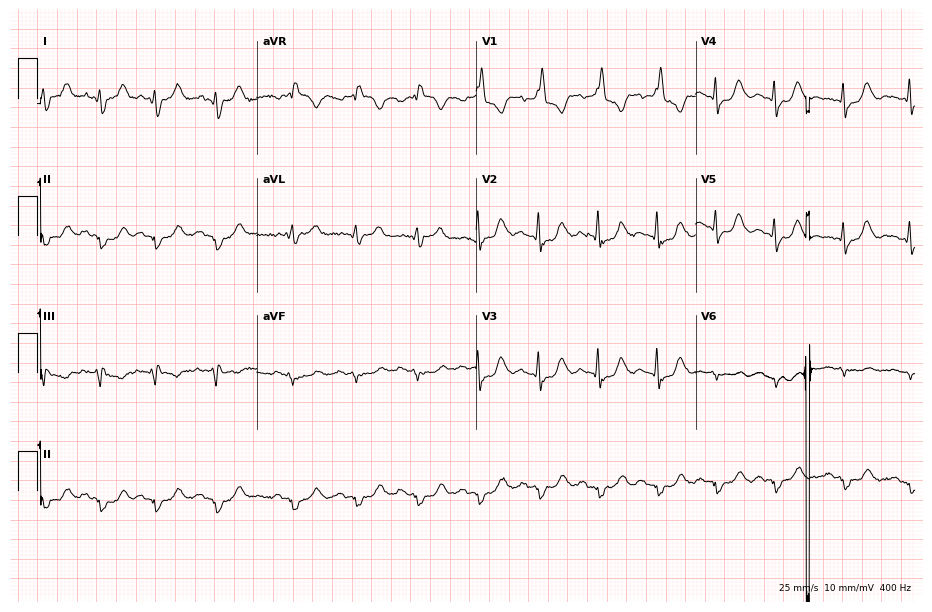
Standard 12-lead ECG recorded from a female, 73 years old (8.9-second recording at 400 Hz). None of these six findings is recorded: first-degree AV block, right bundle branch block, left bundle branch block, sinus bradycardia, atrial fibrillation, sinus tachycardia. Findings outside these six are not listed.